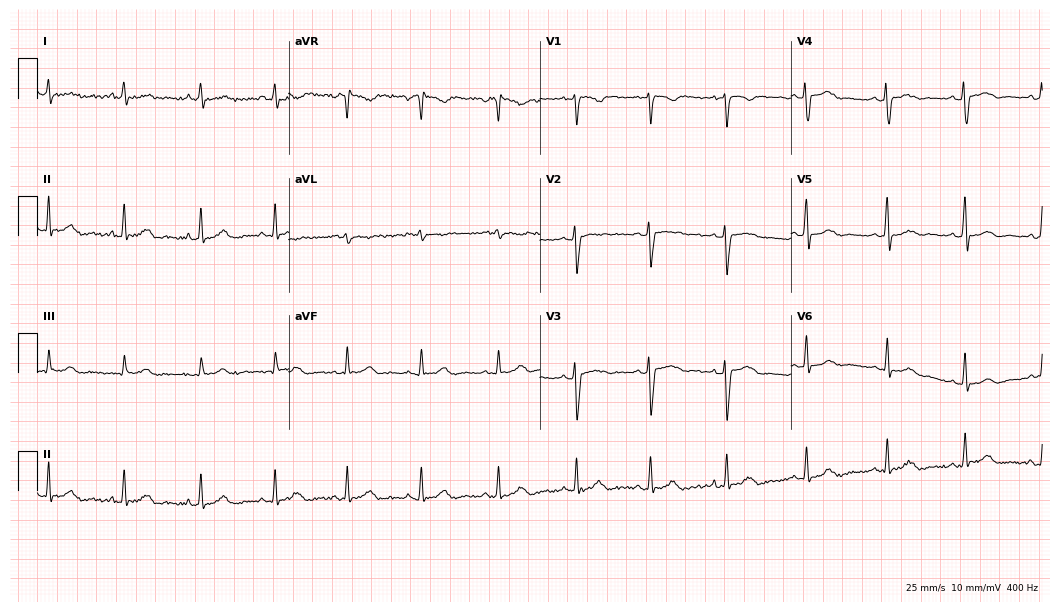
Electrocardiogram, a female, 25 years old. Overall reading on record: normal ECG.